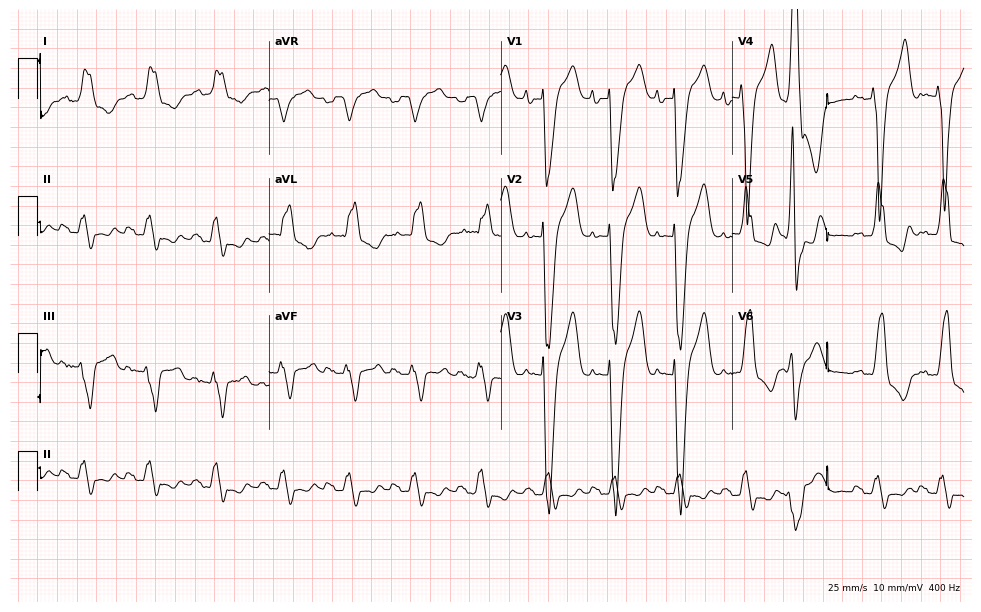
Standard 12-lead ECG recorded from a male patient, 71 years old. None of these six findings is recorded: first-degree AV block, right bundle branch block (RBBB), left bundle branch block (LBBB), sinus bradycardia, atrial fibrillation (AF), sinus tachycardia. Findings outside these six are not listed.